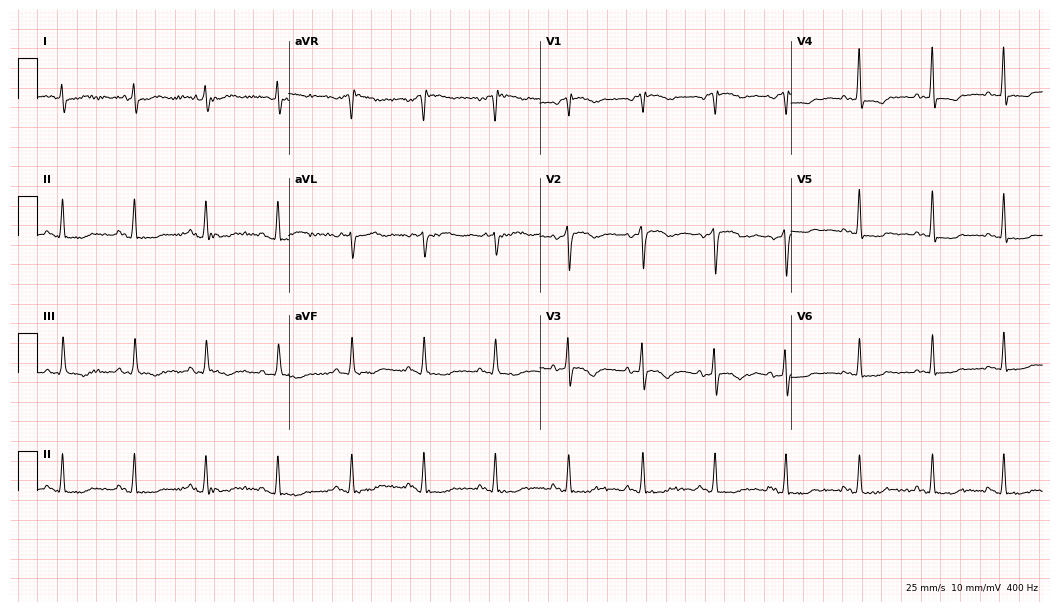
12-lead ECG from a 71-year-old male. Screened for six findings — first-degree AV block, right bundle branch block, left bundle branch block, sinus bradycardia, atrial fibrillation, sinus tachycardia — none is recorded.